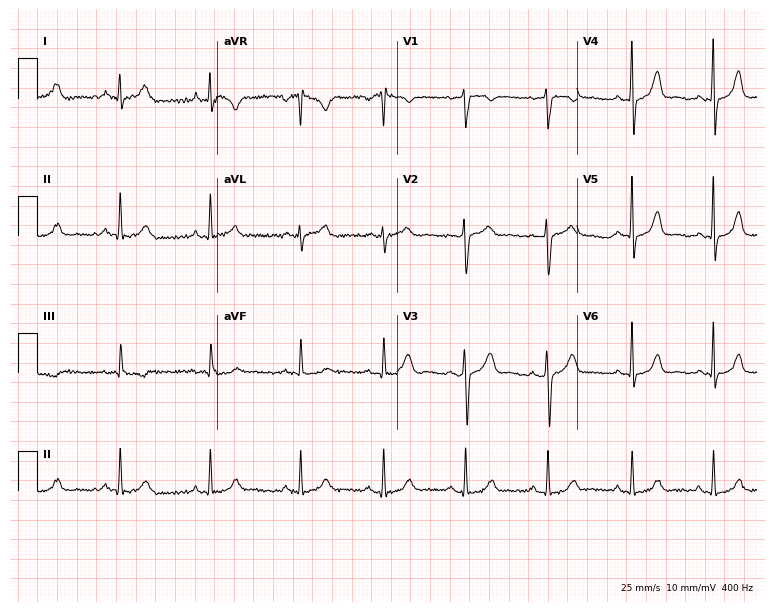
Electrocardiogram, a 32-year-old female. Overall reading on record: normal ECG.